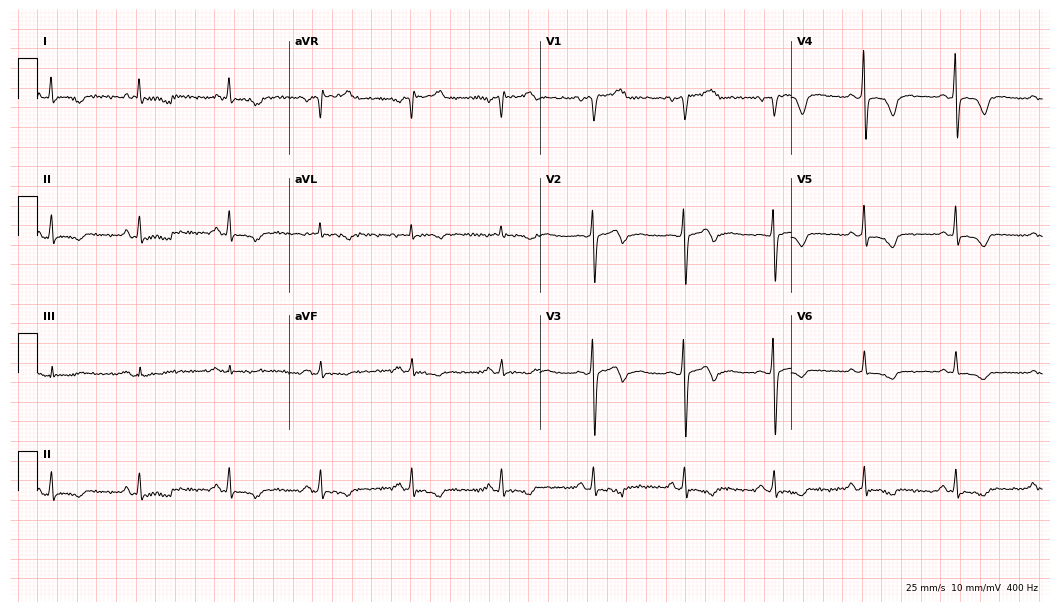
Electrocardiogram, a woman, 49 years old. Overall reading on record: normal ECG.